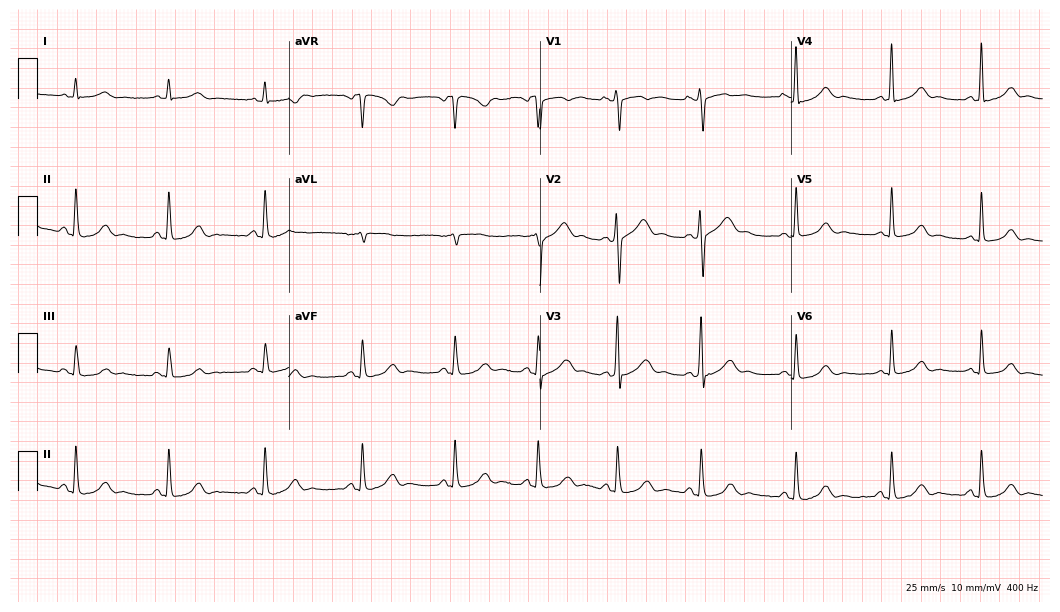
12-lead ECG from a woman, 31 years old. No first-degree AV block, right bundle branch block (RBBB), left bundle branch block (LBBB), sinus bradycardia, atrial fibrillation (AF) or sinus tachycardia recorded for this tracing. Findings outside these six are not listed.